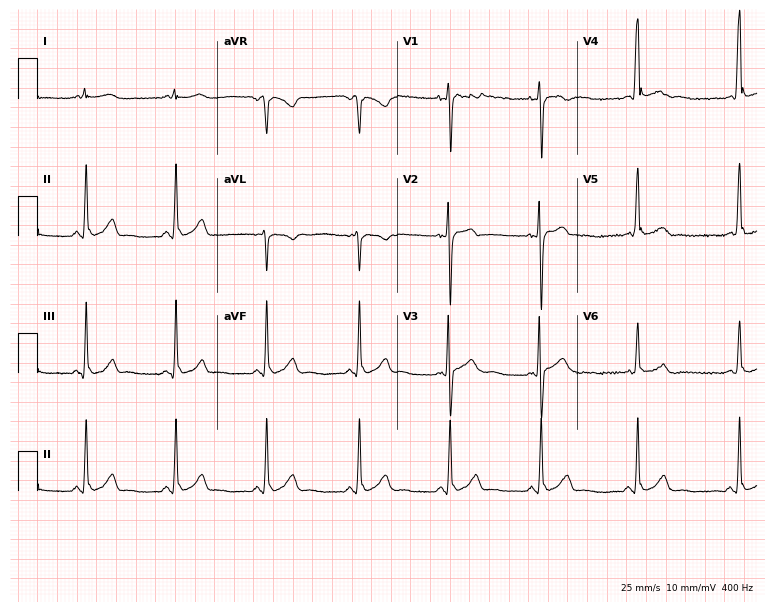
Electrocardiogram, a man, 32 years old. Overall reading on record: normal ECG.